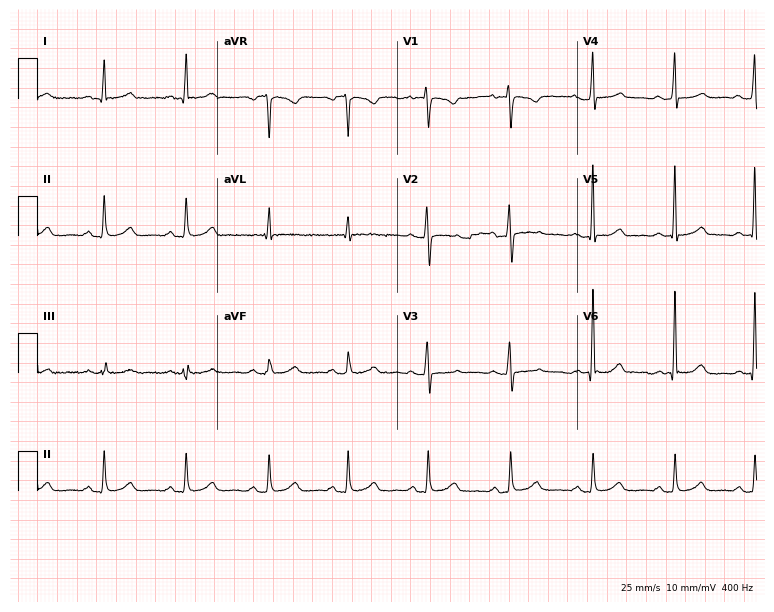
Electrocardiogram, a female, 49 years old. Of the six screened findings (first-degree AV block, right bundle branch block, left bundle branch block, sinus bradycardia, atrial fibrillation, sinus tachycardia), none is recorded. Findings outside these six are not listed.